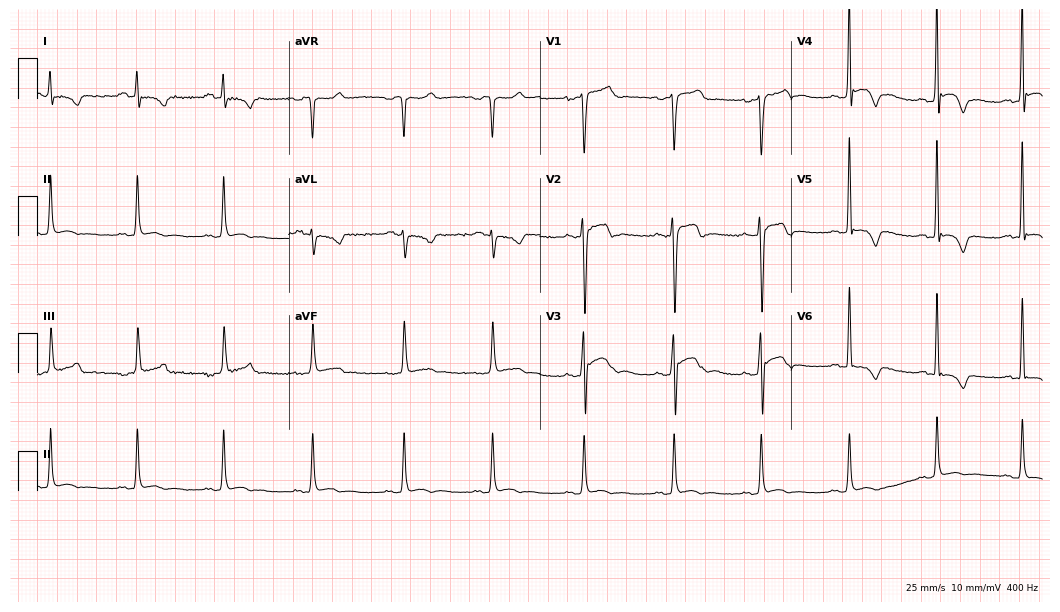
12-lead ECG (10.2-second recording at 400 Hz) from a 38-year-old man. Screened for six findings — first-degree AV block, right bundle branch block (RBBB), left bundle branch block (LBBB), sinus bradycardia, atrial fibrillation (AF), sinus tachycardia — none is recorded.